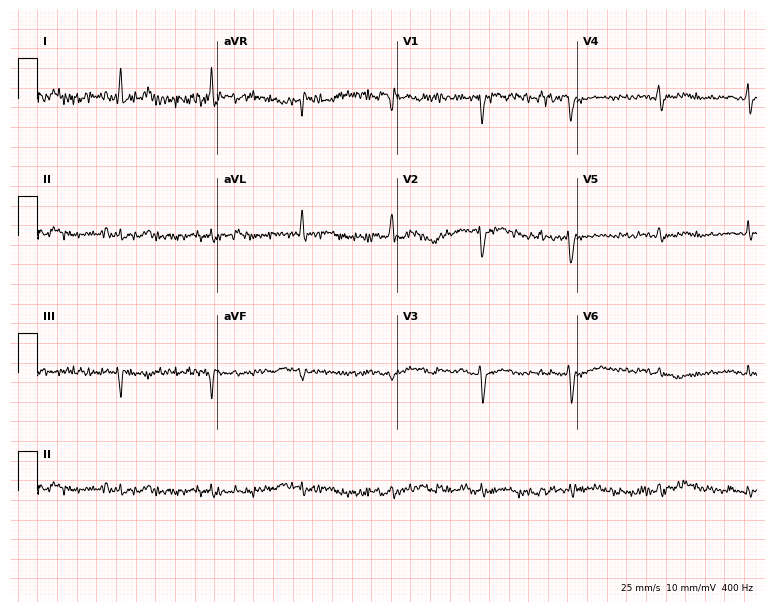
Resting 12-lead electrocardiogram (7.3-second recording at 400 Hz). Patient: a male, 75 years old. None of these six findings is recorded: first-degree AV block, right bundle branch block, left bundle branch block, sinus bradycardia, atrial fibrillation, sinus tachycardia.